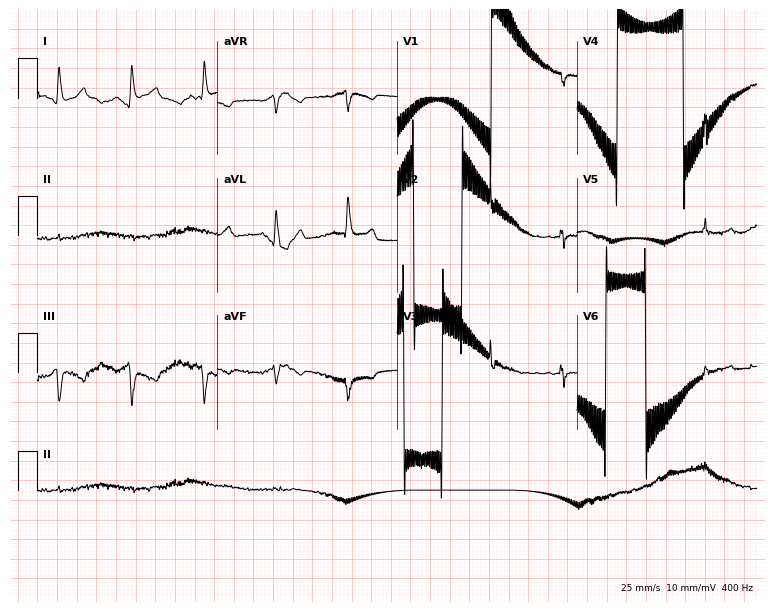
Resting 12-lead electrocardiogram. Patient: a man, 58 years old. None of these six findings is recorded: first-degree AV block, right bundle branch block, left bundle branch block, sinus bradycardia, atrial fibrillation, sinus tachycardia. Only these six findings were labelled.